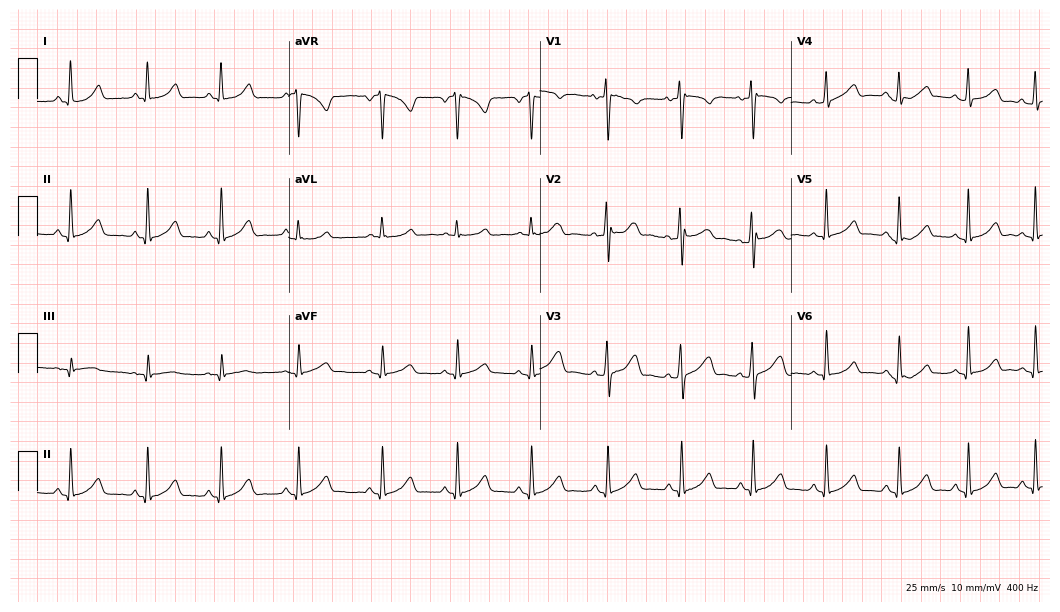
ECG — a female, 32 years old. Labelled as a normal ECG.